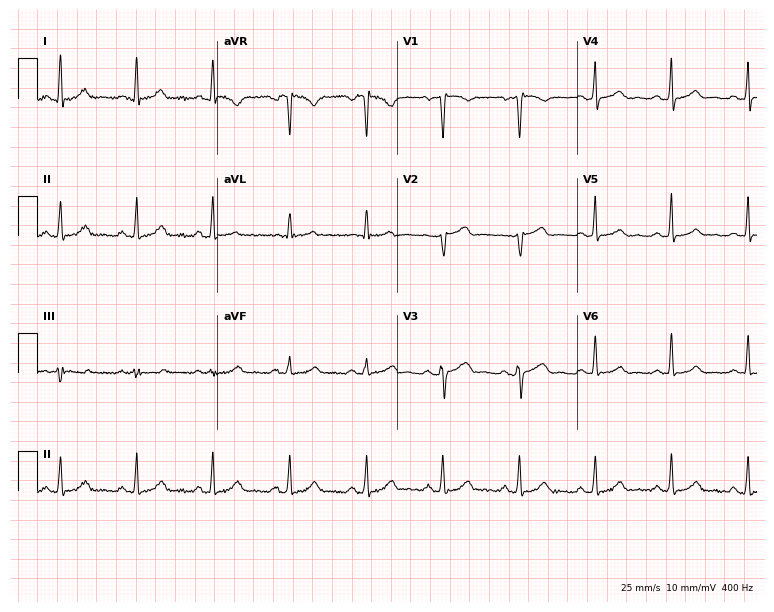
ECG — a 48-year-old woman. Screened for six findings — first-degree AV block, right bundle branch block, left bundle branch block, sinus bradycardia, atrial fibrillation, sinus tachycardia — none is recorded.